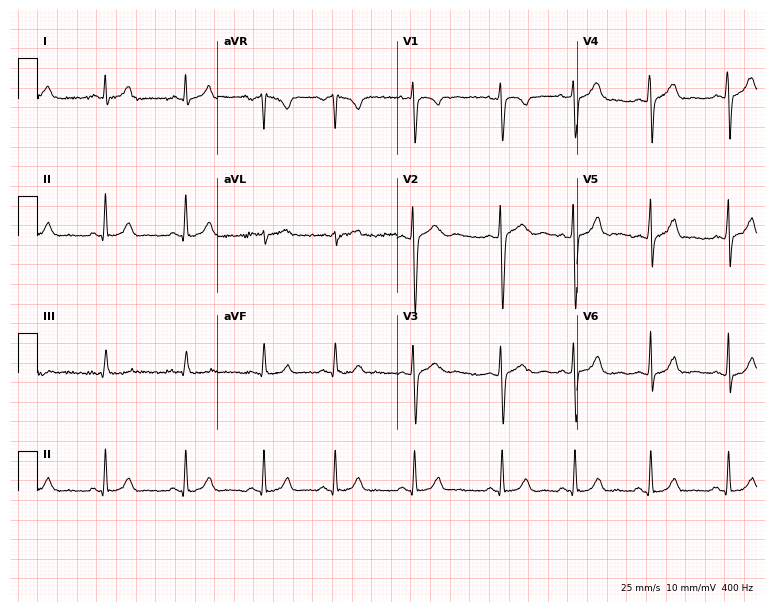
ECG — a 20-year-old woman. Screened for six findings — first-degree AV block, right bundle branch block (RBBB), left bundle branch block (LBBB), sinus bradycardia, atrial fibrillation (AF), sinus tachycardia — none is recorded. Findings outside these six are not listed.